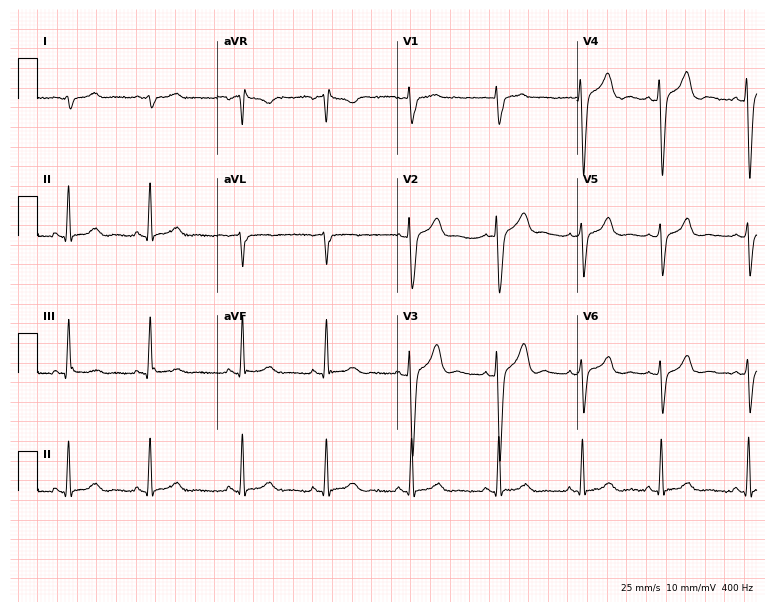
Electrocardiogram (7.3-second recording at 400 Hz), a 19-year-old man. Of the six screened findings (first-degree AV block, right bundle branch block, left bundle branch block, sinus bradycardia, atrial fibrillation, sinus tachycardia), none is recorded.